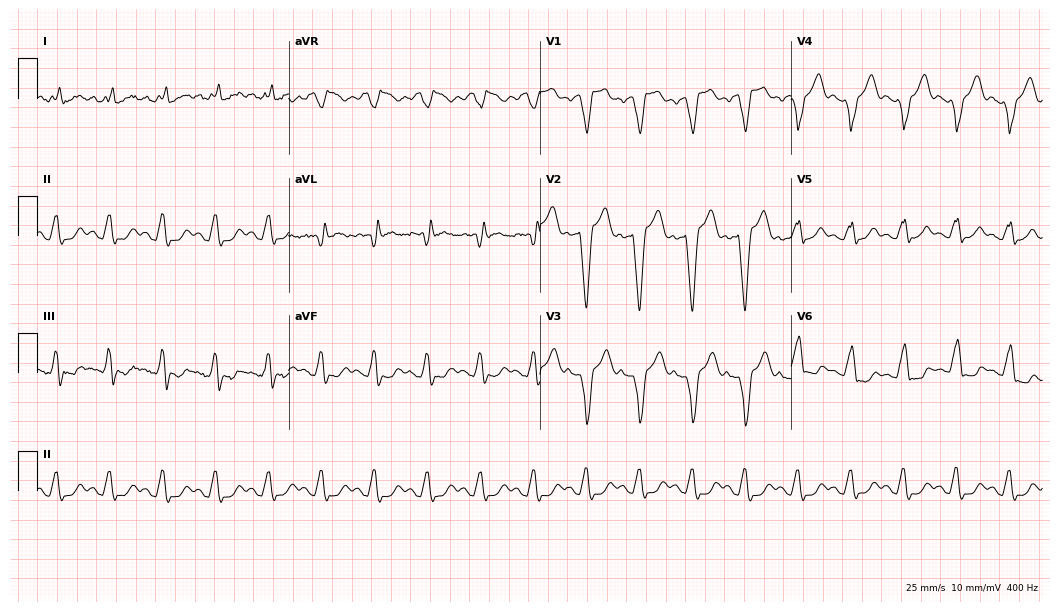
Resting 12-lead electrocardiogram. Patient: a 43-year-old female. The tracing shows left bundle branch block.